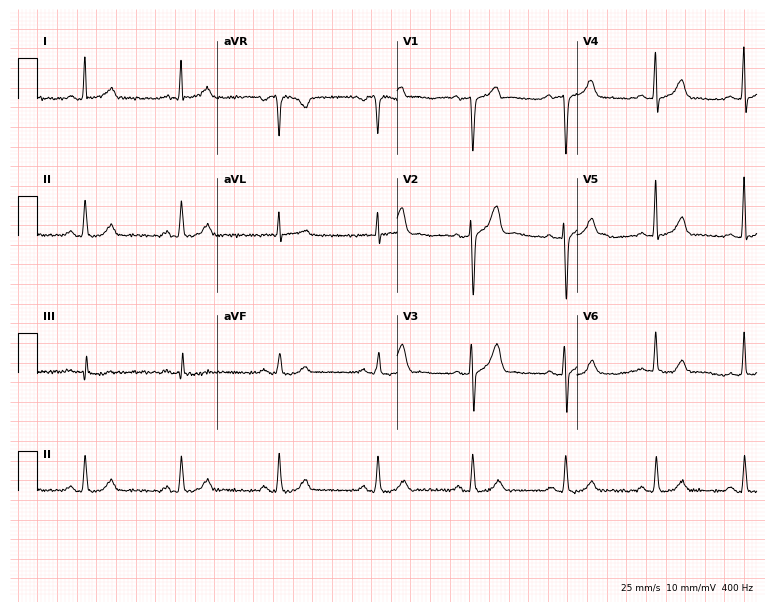
12-lead ECG (7.3-second recording at 400 Hz) from a 38-year-old male patient. Labelled as a normal ECG.